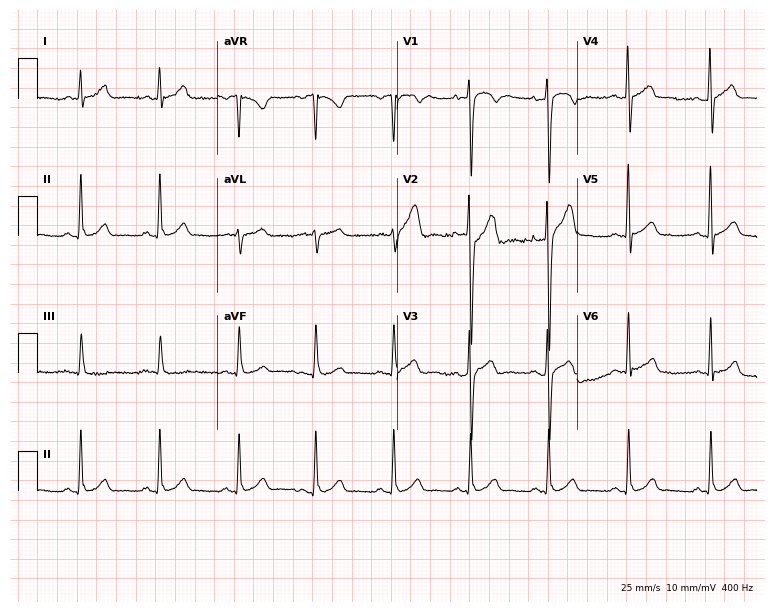
Resting 12-lead electrocardiogram. Patient: a man, 23 years old. Read as a normal ECG.